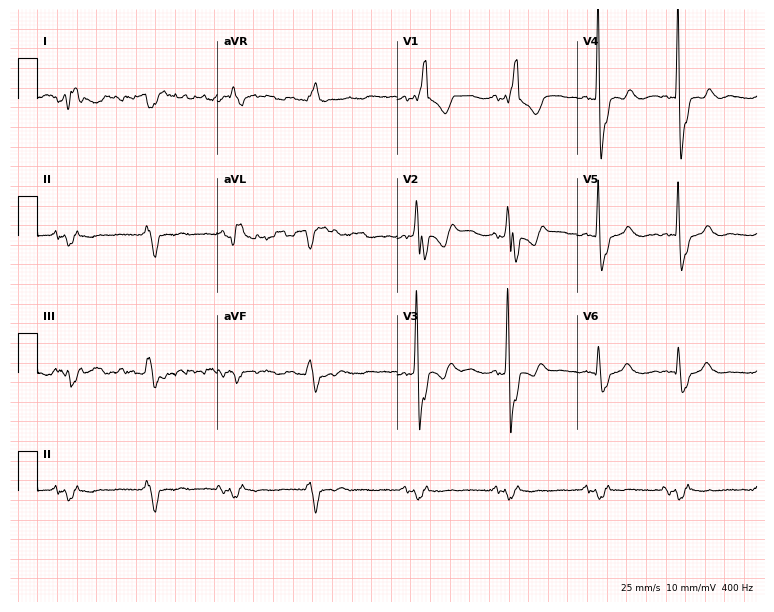
12-lead ECG (7.3-second recording at 400 Hz) from a man, 83 years old. Screened for six findings — first-degree AV block, right bundle branch block, left bundle branch block, sinus bradycardia, atrial fibrillation, sinus tachycardia — none is recorded. Other findings, if any, are not listed.